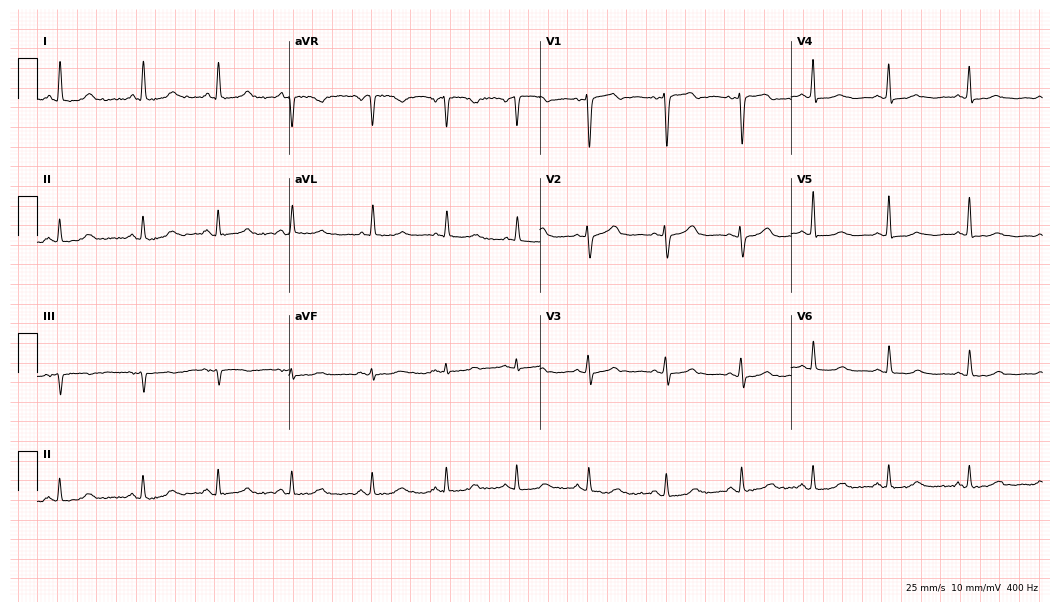
ECG — a female, 76 years old. Screened for six findings — first-degree AV block, right bundle branch block, left bundle branch block, sinus bradycardia, atrial fibrillation, sinus tachycardia — none is recorded.